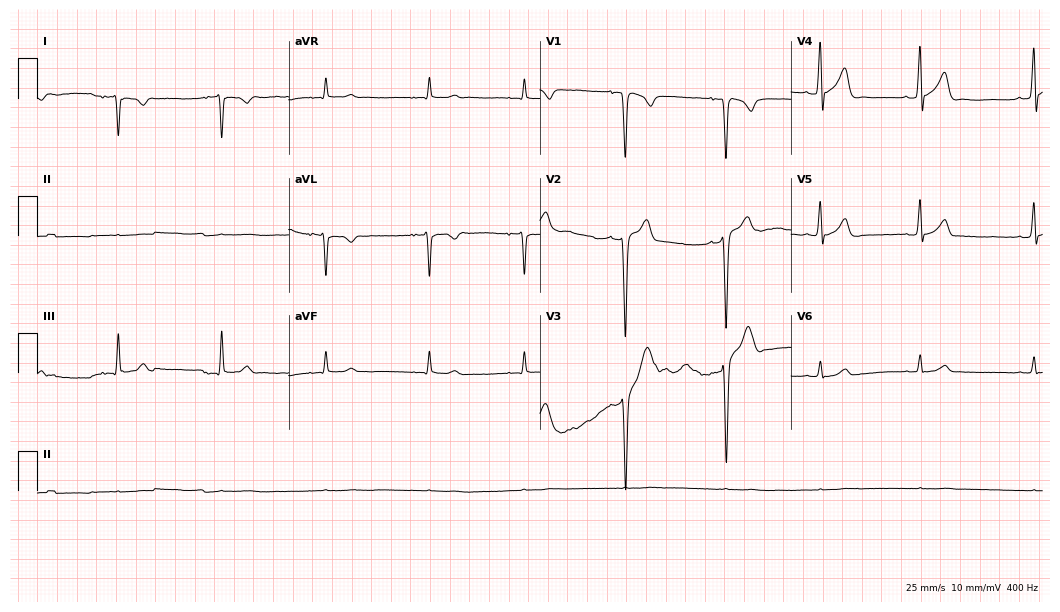
Standard 12-lead ECG recorded from a 21-year-old male. Read as a normal ECG.